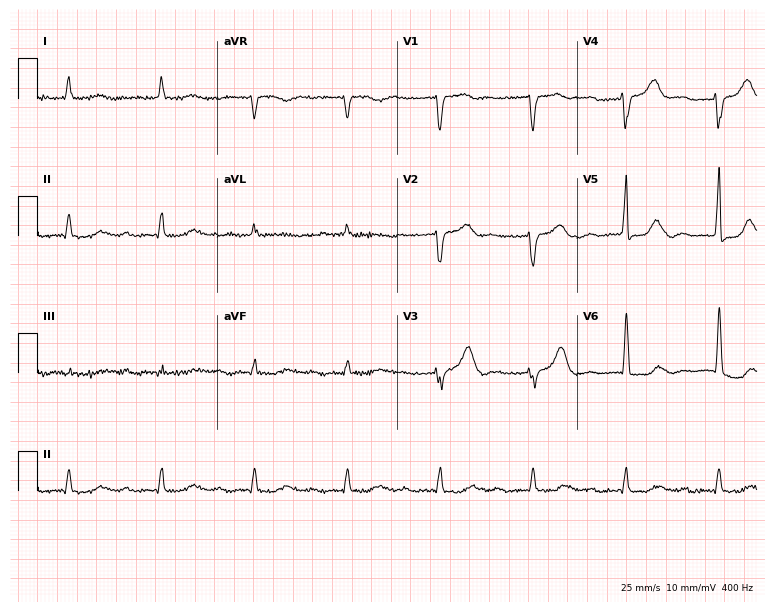
12-lead ECG from a male patient, 80 years old. Findings include first-degree AV block.